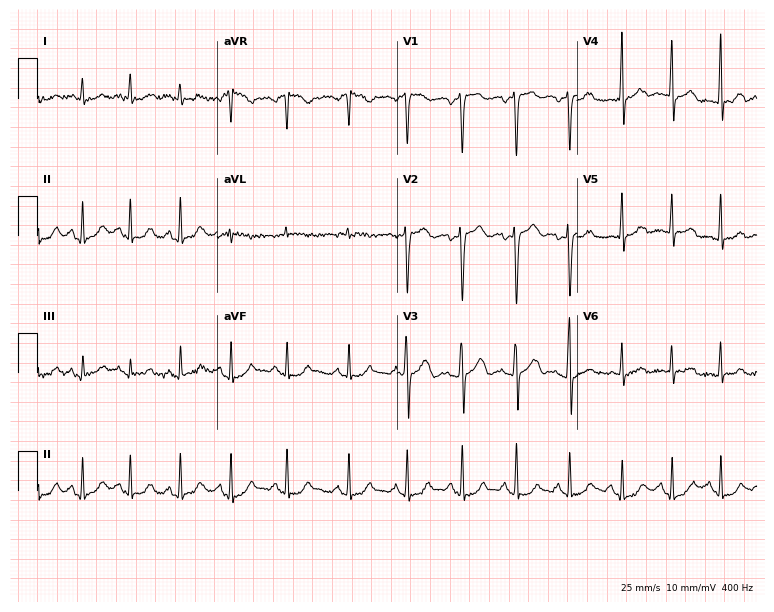
Standard 12-lead ECG recorded from a 39-year-old female patient. None of these six findings is recorded: first-degree AV block, right bundle branch block (RBBB), left bundle branch block (LBBB), sinus bradycardia, atrial fibrillation (AF), sinus tachycardia.